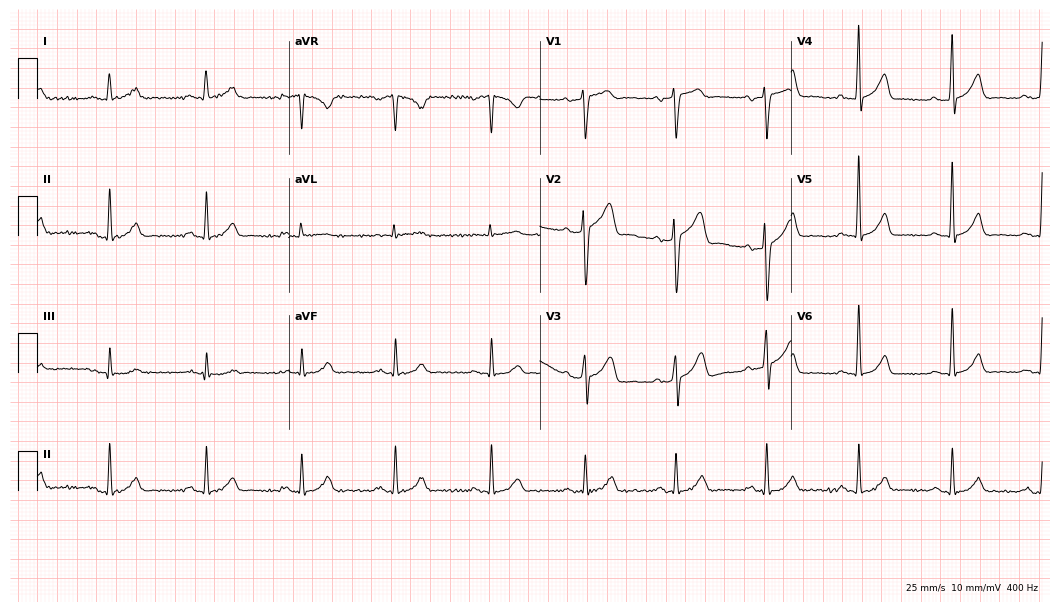
ECG (10.2-second recording at 400 Hz) — a 62-year-old male patient. Screened for six findings — first-degree AV block, right bundle branch block (RBBB), left bundle branch block (LBBB), sinus bradycardia, atrial fibrillation (AF), sinus tachycardia — none is recorded.